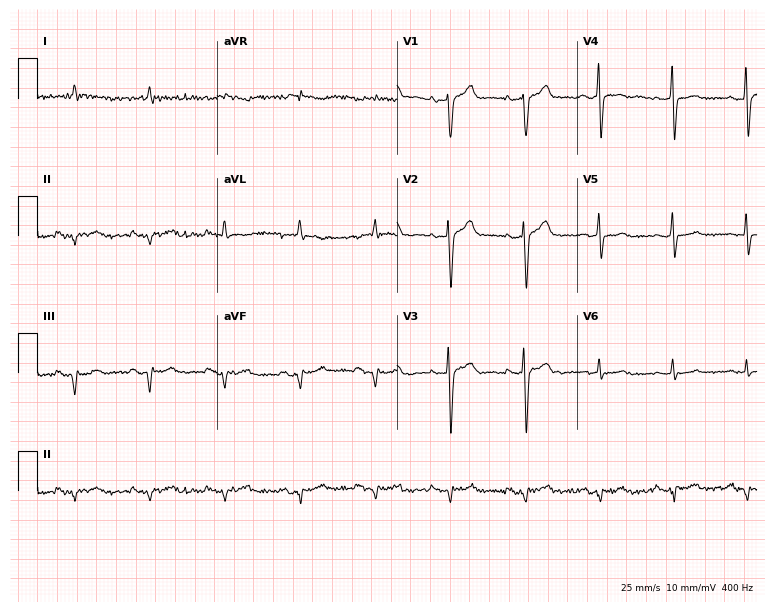
ECG — a man, 82 years old. Screened for six findings — first-degree AV block, right bundle branch block (RBBB), left bundle branch block (LBBB), sinus bradycardia, atrial fibrillation (AF), sinus tachycardia — none is recorded. Findings outside these six are not listed.